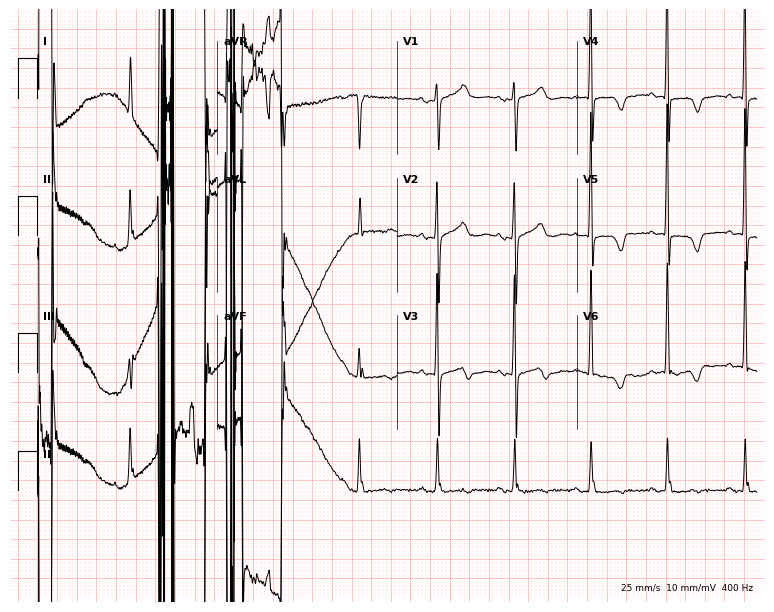
Standard 12-lead ECG recorded from a female patient, 80 years old (7.3-second recording at 400 Hz). None of these six findings is recorded: first-degree AV block, right bundle branch block (RBBB), left bundle branch block (LBBB), sinus bradycardia, atrial fibrillation (AF), sinus tachycardia. Other findings, if any, are not listed.